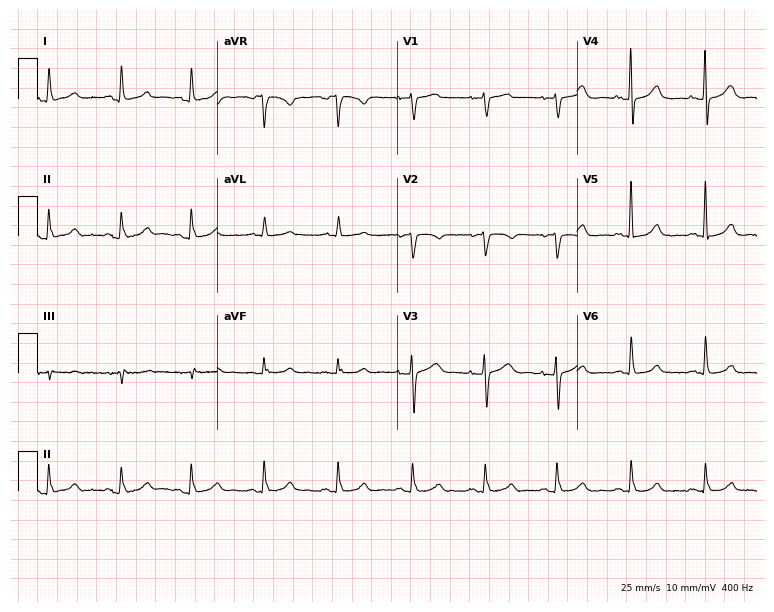
ECG (7.3-second recording at 400 Hz) — a female patient, 77 years old. Labelled as a normal ECG.